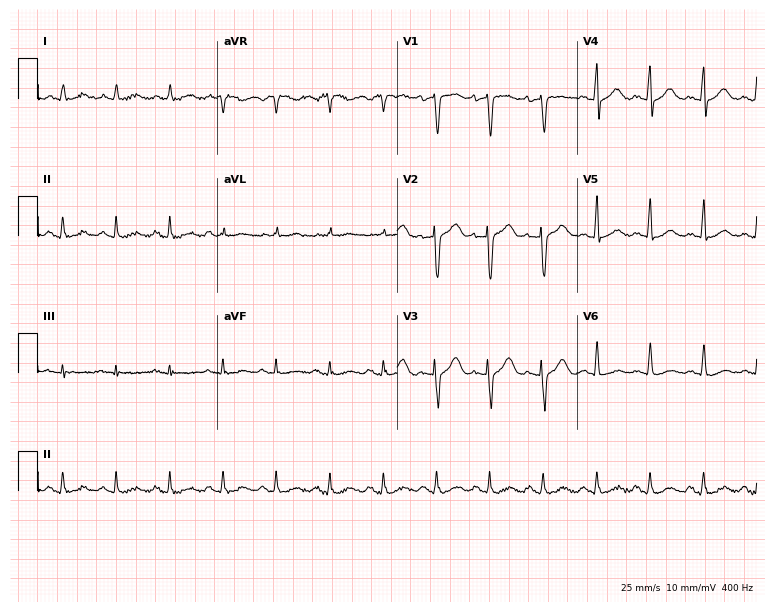
ECG (7.3-second recording at 400 Hz) — a man, 62 years old. Screened for six findings — first-degree AV block, right bundle branch block, left bundle branch block, sinus bradycardia, atrial fibrillation, sinus tachycardia — none is recorded.